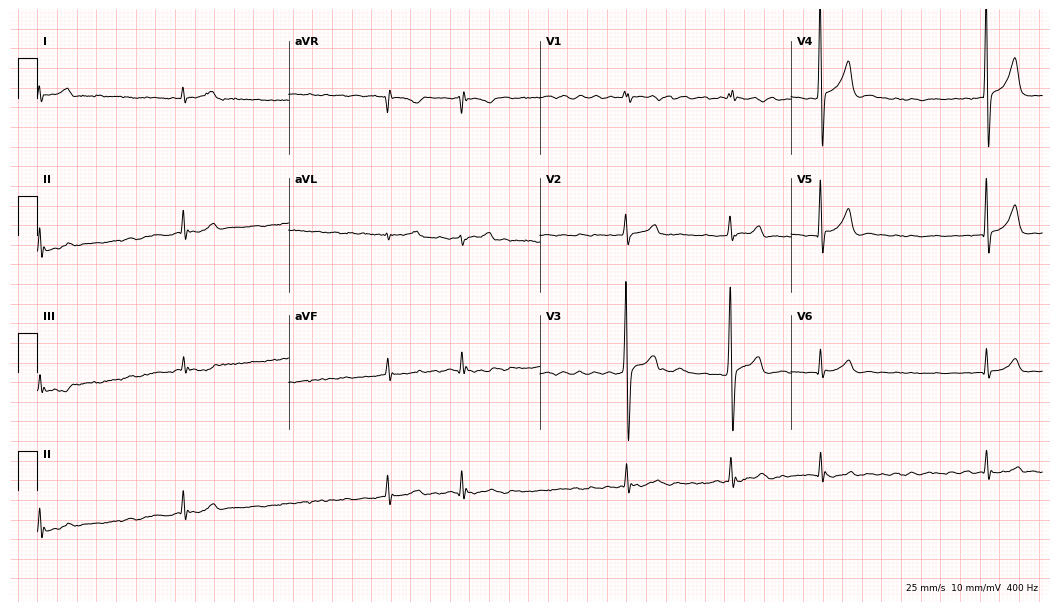
12-lead ECG from a 74-year-old male. Findings include atrial fibrillation (AF).